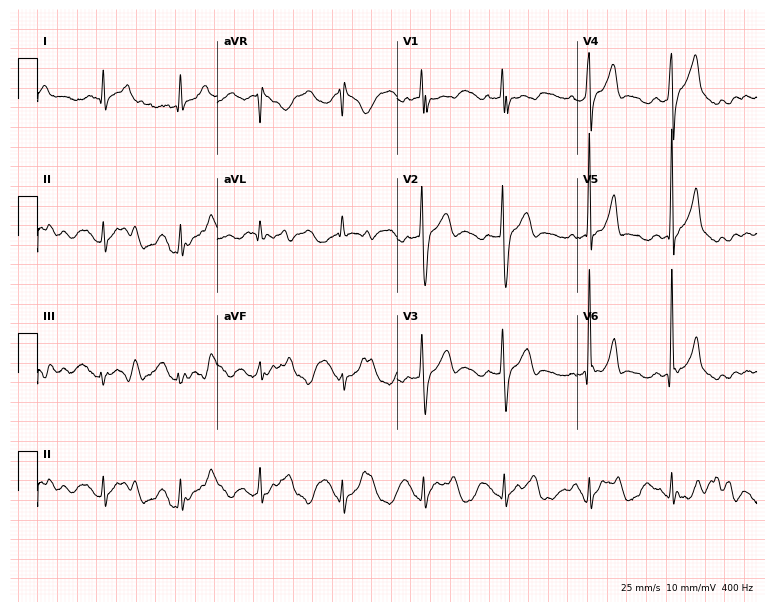
12-lead ECG from a male, 38 years old (7.3-second recording at 400 Hz). No first-degree AV block, right bundle branch block, left bundle branch block, sinus bradycardia, atrial fibrillation or sinus tachycardia recorded for this tracing. Only these six findings were labelled.